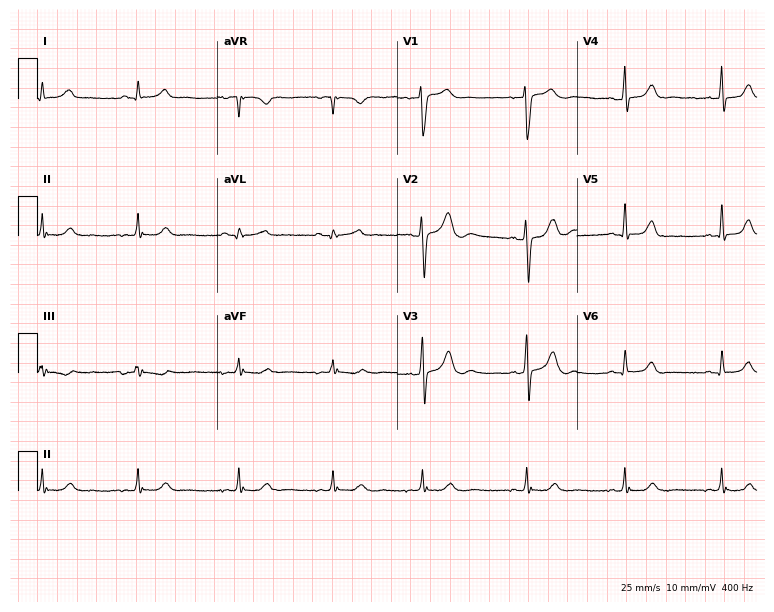
12-lead ECG from a male patient, 23 years old. Labelled as a normal ECG.